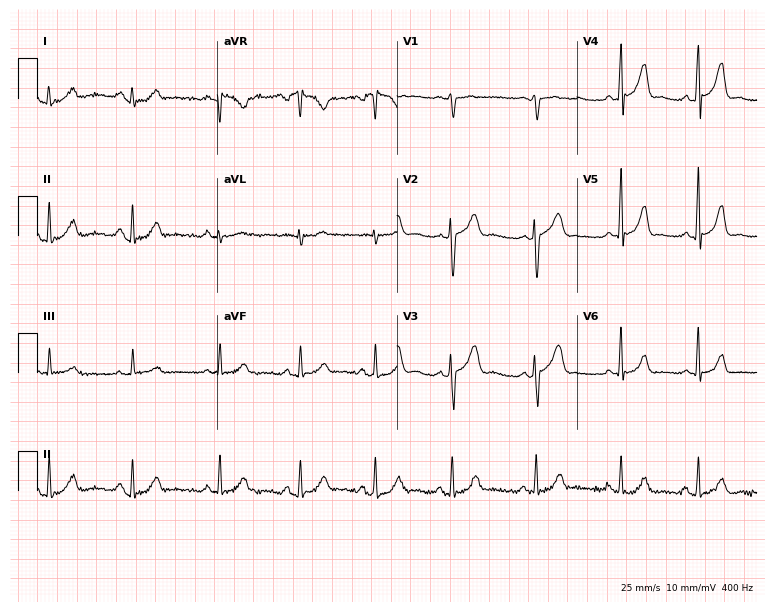
ECG — a 34-year-old female patient. Screened for six findings — first-degree AV block, right bundle branch block, left bundle branch block, sinus bradycardia, atrial fibrillation, sinus tachycardia — none is recorded.